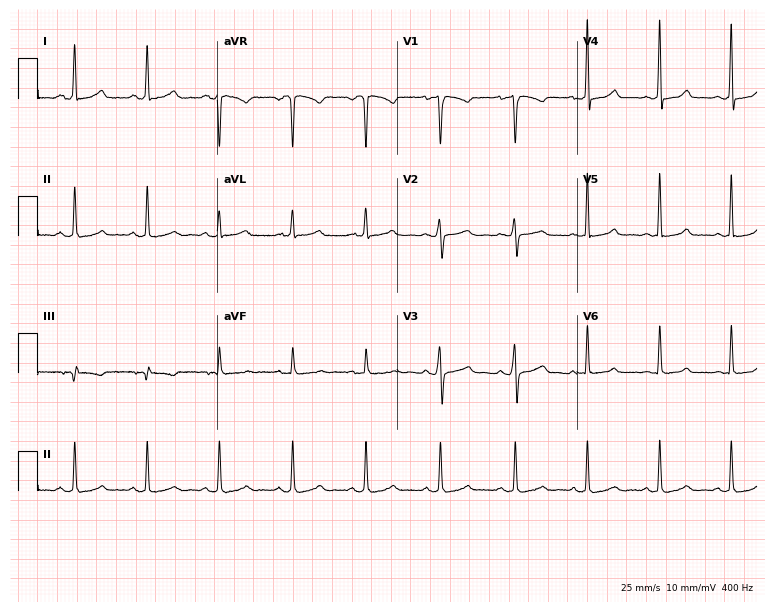
Standard 12-lead ECG recorded from a female patient, 26 years old. Read as a normal ECG.